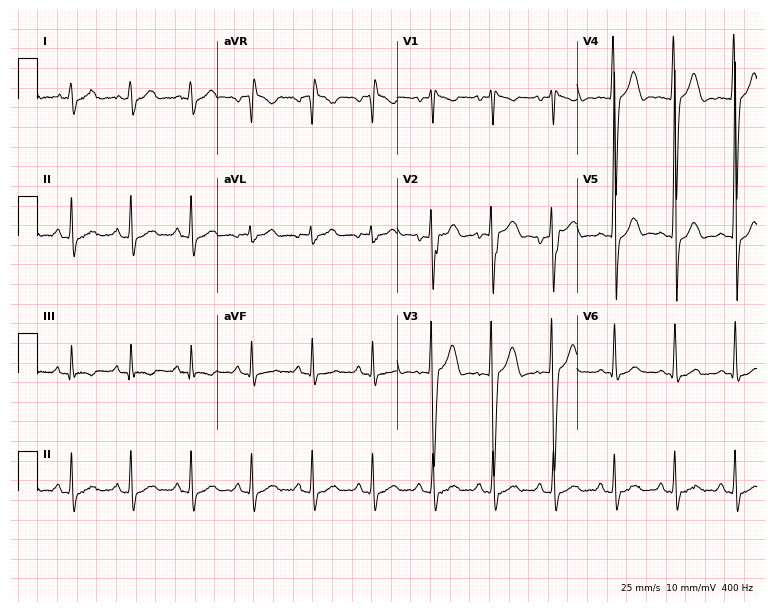
Standard 12-lead ECG recorded from a man, 17 years old. None of these six findings is recorded: first-degree AV block, right bundle branch block (RBBB), left bundle branch block (LBBB), sinus bradycardia, atrial fibrillation (AF), sinus tachycardia.